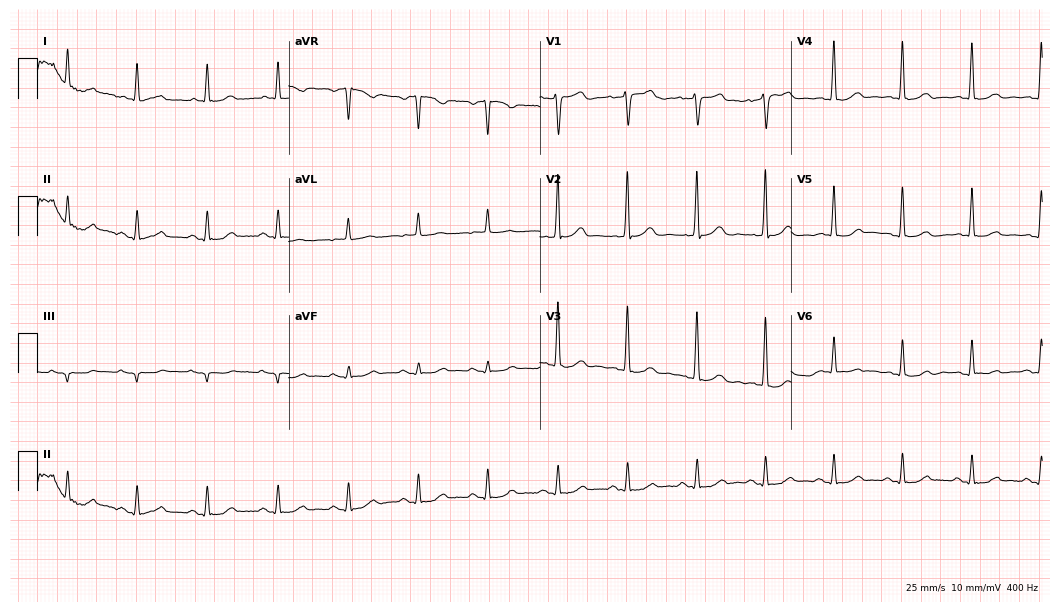
12-lead ECG (10.2-second recording at 400 Hz) from a 77-year-old male patient. Labelled as a normal ECG.